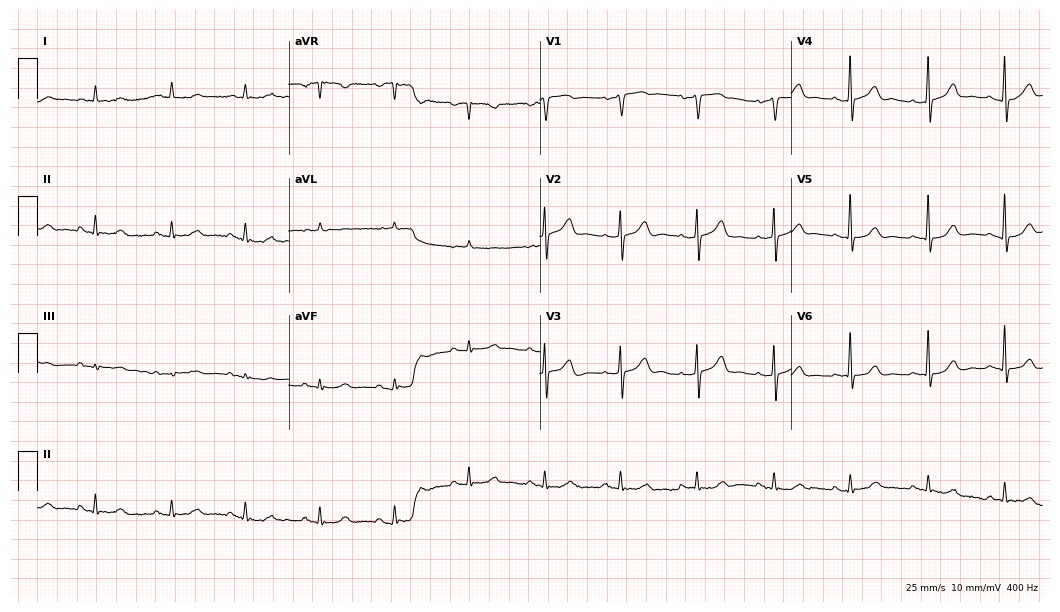
Electrocardiogram, a male, 77 years old. Overall reading on record: normal ECG.